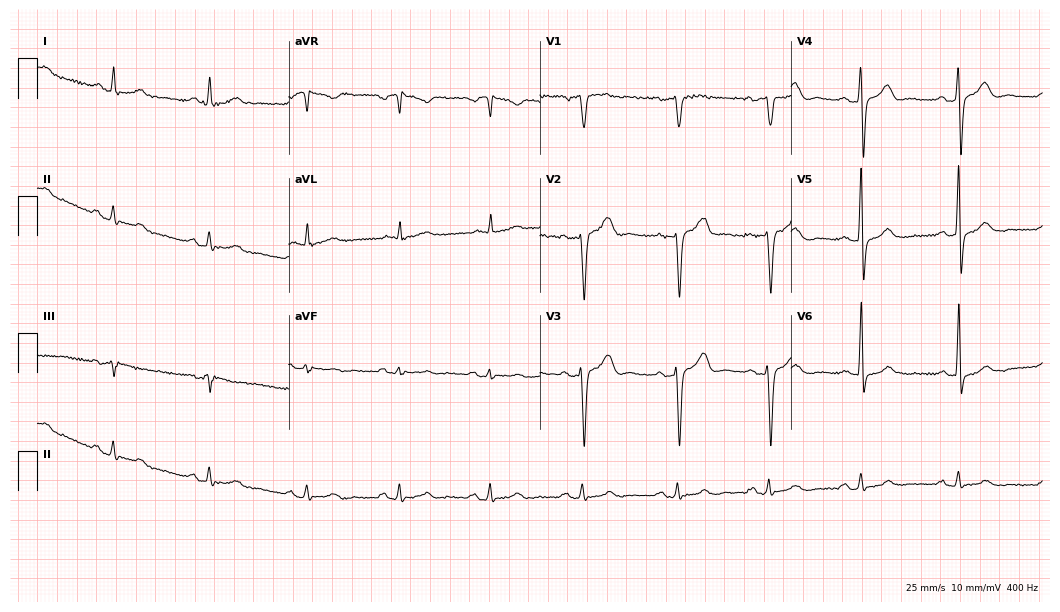
Resting 12-lead electrocardiogram (10.2-second recording at 400 Hz). Patient: a 53-year-old man. None of these six findings is recorded: first-degree AV block, right bundle branch block (RBBB), left bundle branch block (LBBB), sinus bradycardia, atrial fibrillation (AF), sinus tachycardia.